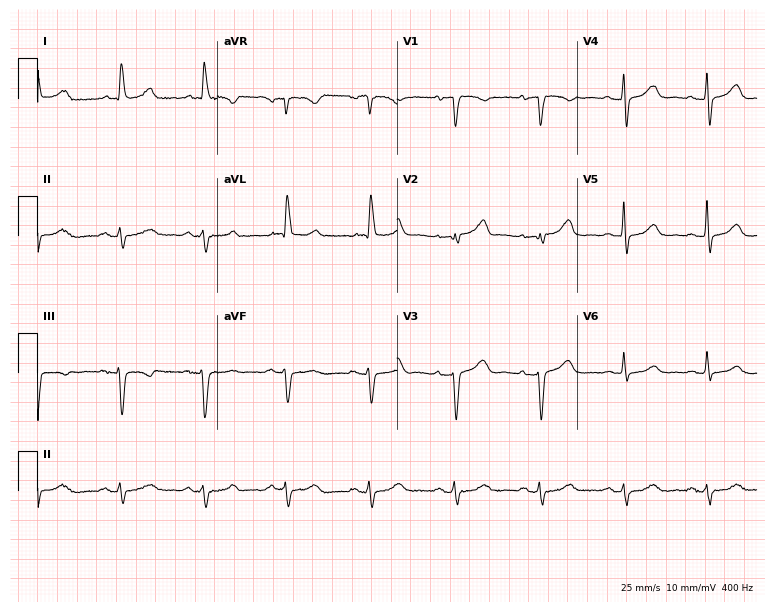
12-lead ECG from a female patient, 75 years old. Recorded interpretation: within normal limits.